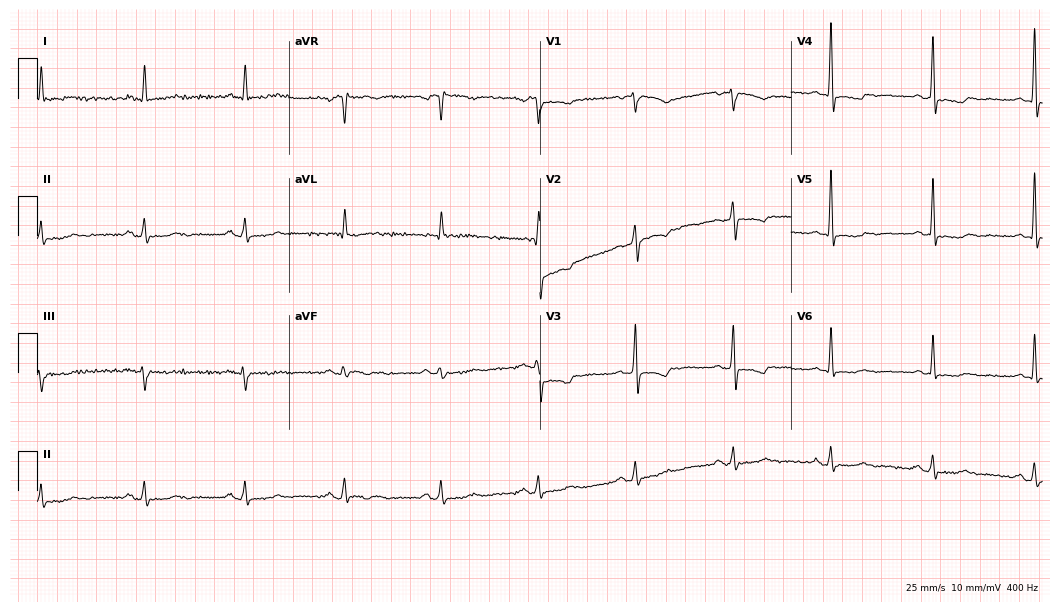
12-lead ECG from a female patient, 66 years old. No first-degree AV block, right bundle branch block (RBBB), left bundle branch block (LBBB), sinus bradycardia, atrial fibrillation (AF) or sinus tachycardia recorded for this tracing. Findings outside these six are not listed.